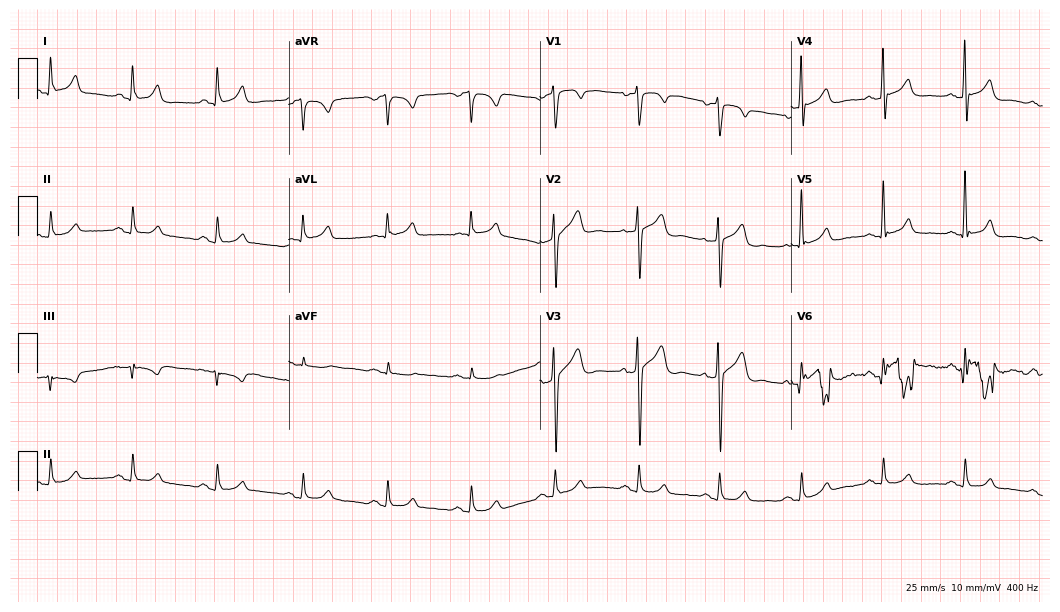
Resting 12-lead electrocardiogram. Patient: a male, 72 years old. Read as a normal ECG.